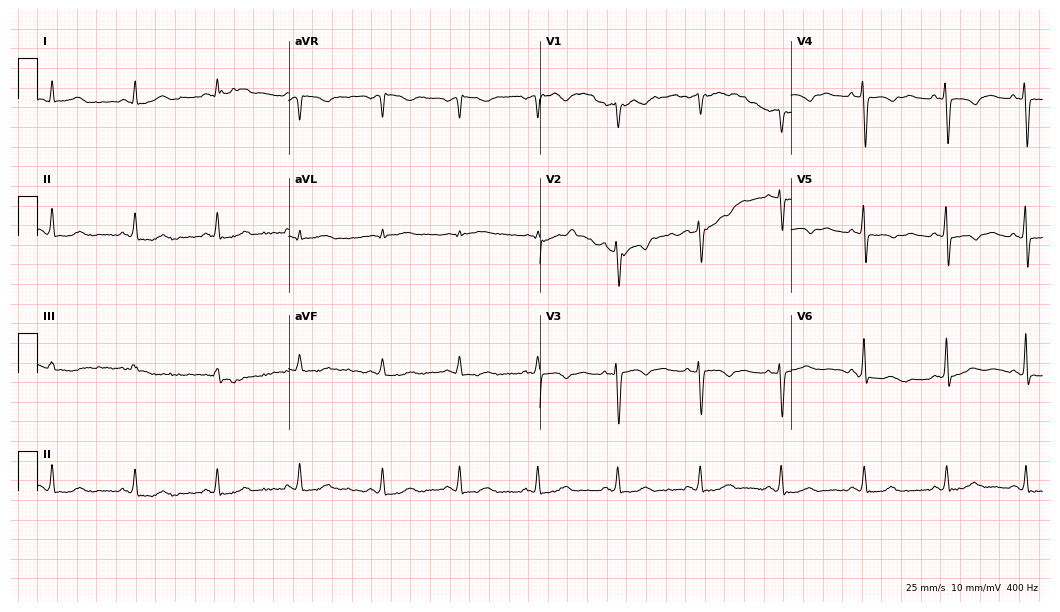
ECG (10.2-second recording at 400 Hz) — a female, 40 years old. Screened for six findings — first-degree AV block, right bundle branch block (RBBB), left bundle branch block (LBBB), sinus bradycardia, atrial fibrillation (AF), sinus tachycardia — none is recorded.